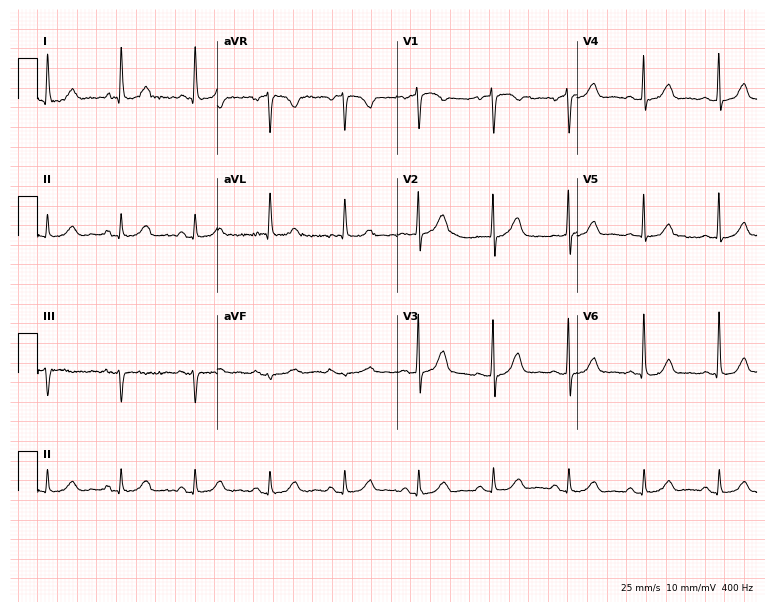
Standard 12-lead ECG recorded from a female, 62 years old (7.3-second recording at 400 Hz). Read as a normal ECG.